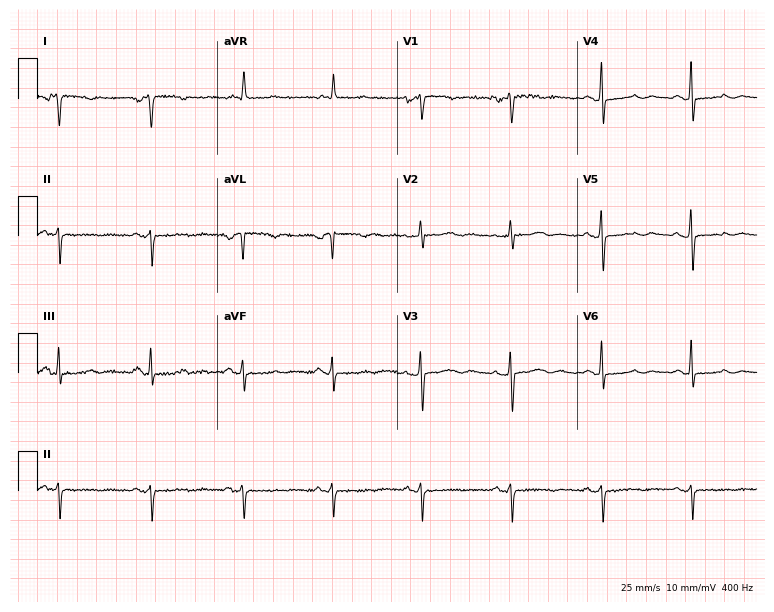
12-lead ECG from a 69-year-old female patient. No first-degree AV block, right bundle branch block, left bundle branch block, sinus bradycardia, atrial fibrillation or sinus tachycardia recorded for this tracing. Findings outside these six are not listed.